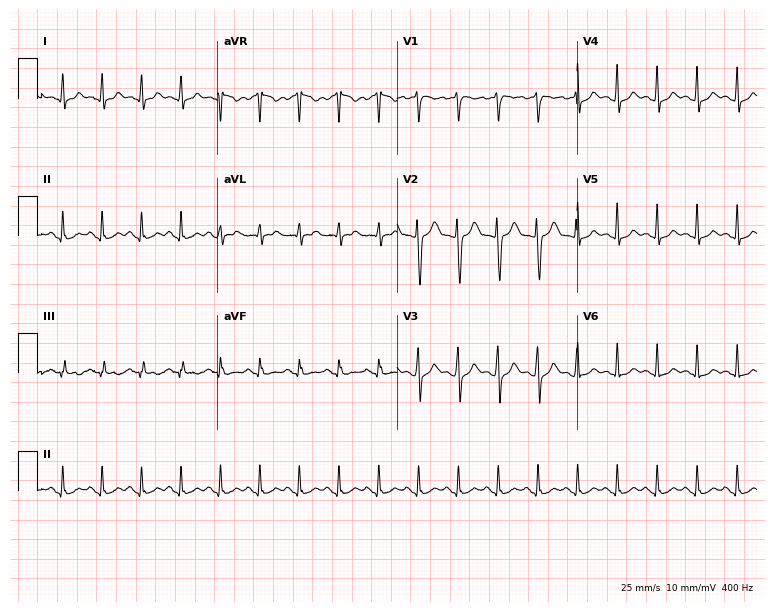
Resting 12-lead electrocardiogram (7.3-second recording at 400 Hz). Patient: a 24-year-old female. The tracing shows sinus tachycardia (a sinus rate of 100 beats per minute or more).